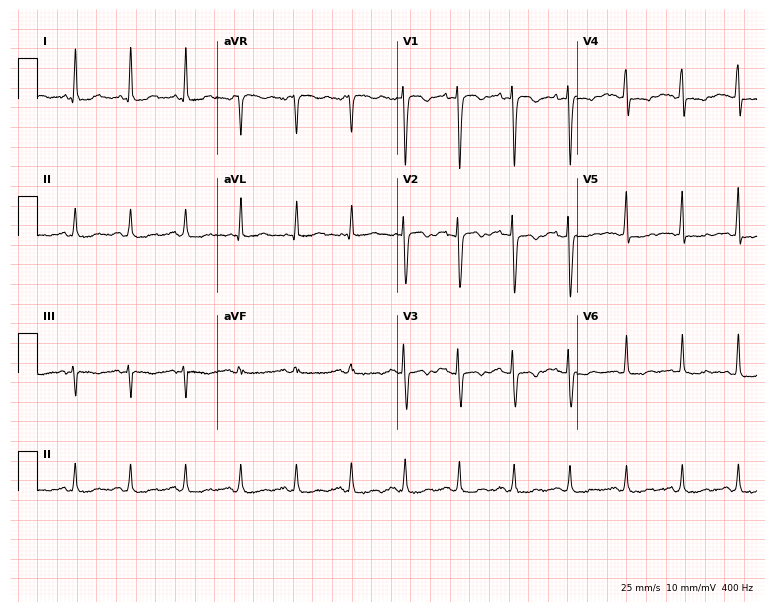
Resting 12-lead electrocardiogram (7.3-second recording at 400 Hz). Patient: a female, 42 years old. The tracing shows sinus tachycardia (a sinus rate of 100 beats per minute or more).